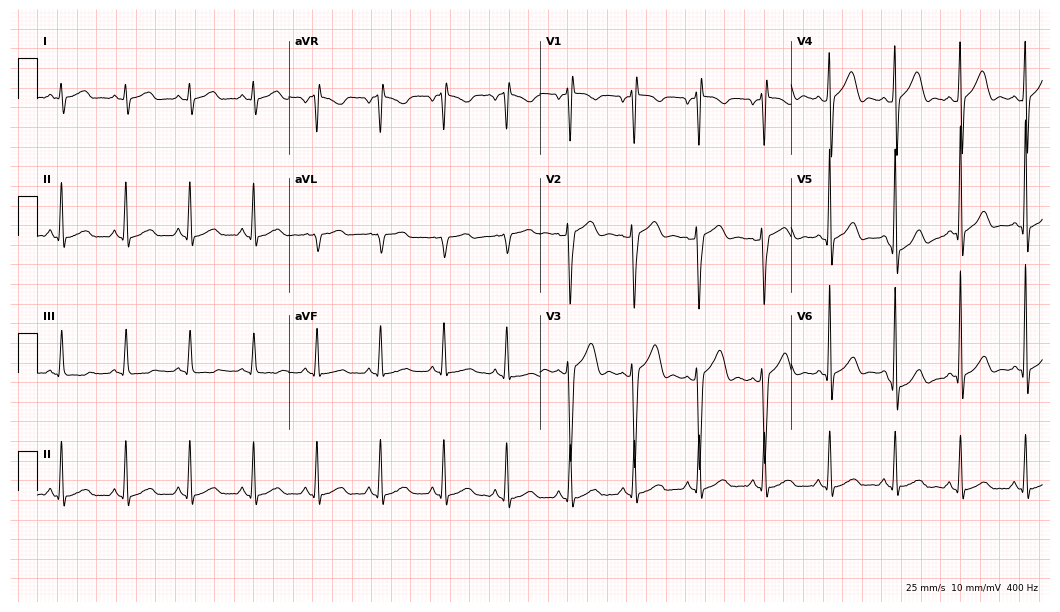
Resting 12-lead electrocardiogram. Patient: a male, 26 years old. None of these six findings is recorded: first-degree AV block, right bundle branch block, left bundle branch block, sinus bradycardia, atrial fibrillation, sinus tachycardia. Findings outside these six are not listed.